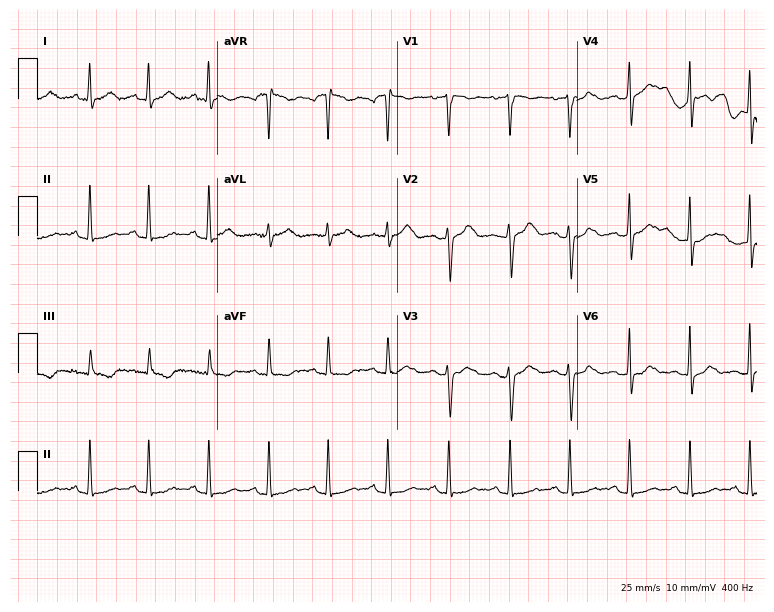
12-lead ECG (7.3-second recording at 400 Hz) from a 19-year-old female. Screened for six findings — first-degree AV block, right bundle branch block (RBBB), left bundle branch block (LBBB), sinus bradycardia, atrial fibrillation (AF), sinus tachycardia — none is recorded. Only these six findings were labelled.